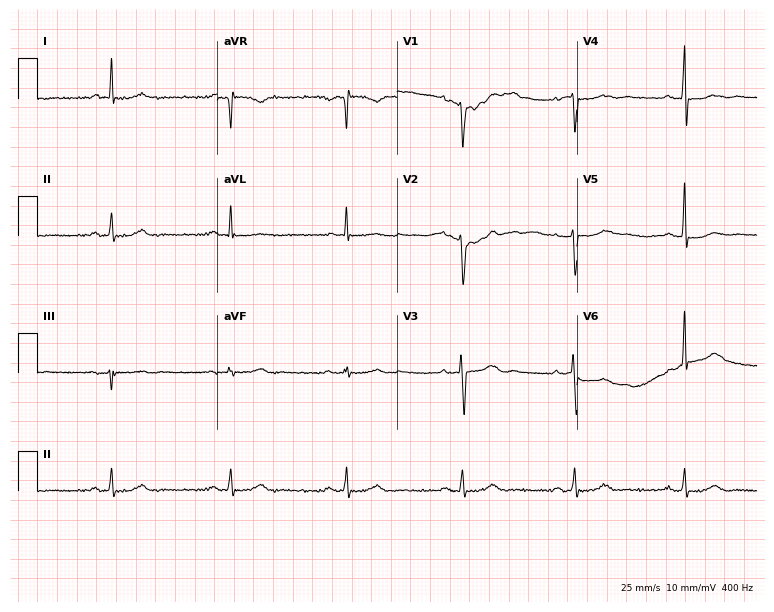
Standard 12-lead ECG recorded from a 61-year-old female patient. None of these six findings is recorded: first-degree AV block, right bundle branch block (RBBB), left bundle branch block (LBBB), sinus bradycardia, atrial fibrillation (AF), sinus tachycardia.